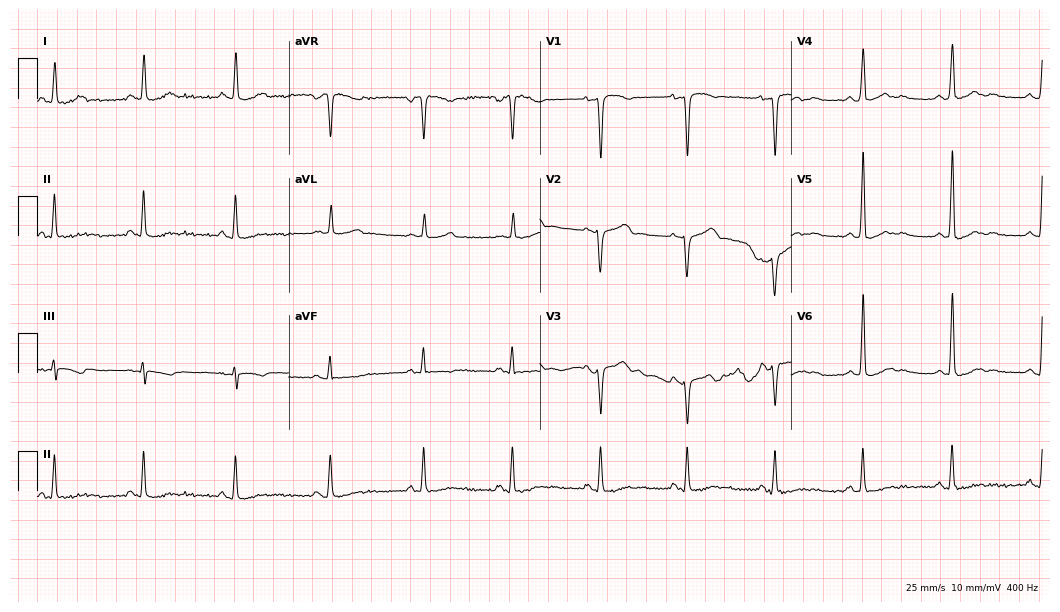
Electrocardiogram, a woman, 38 years old. Of the six screened findings (first-degree AV block, right bundle branch block (RBBB), left bundle branch block (LBBB), sinus bradycardia, atrial fibrillation (AF), sinus tachycardia), none is recorded. Only these six findings were labelled.